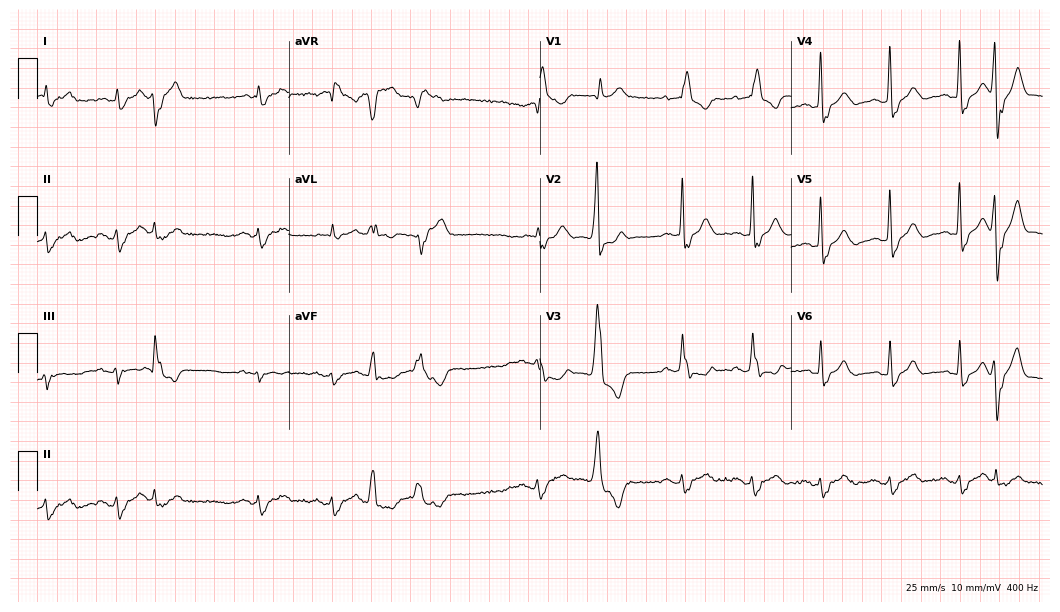
Electrocardiogram, a male, 81 years old. Of the six screened findings (first-degree AV block, right bundle branch block, left bundle branch block, sinus bradycardia, atrial fibrillation, sinus tachycardia), none is recorded.